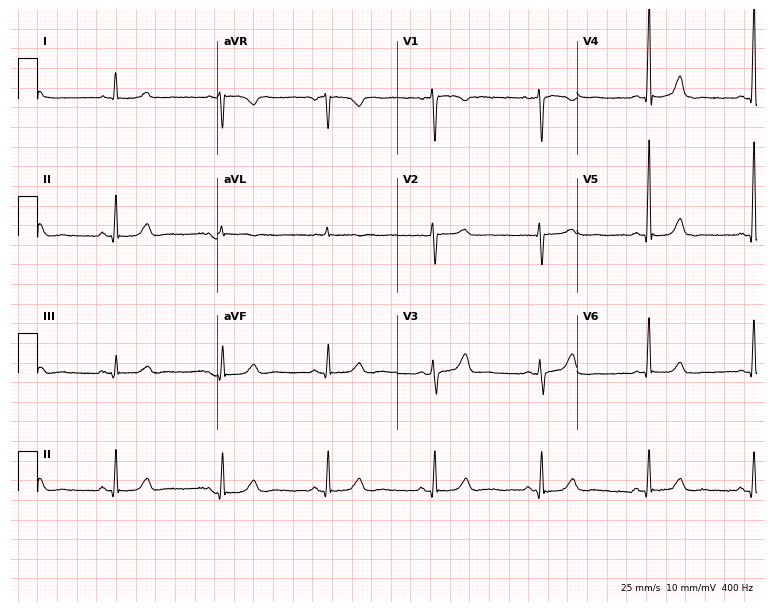
12-lead ECG (7.3-second recording at 400 Hz) from a woman, 80 years old. Screened for six findings — first-degree AV block, right bundle branch block, left bundle branch block, sinus bradycardia, atrial fibrillation, sinus tachycardia — none is recorded. Only these six findings were labelled.